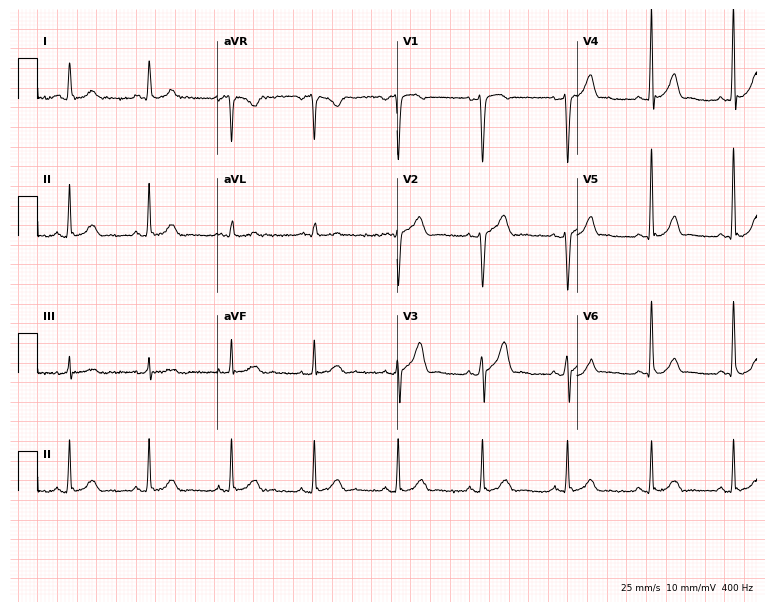
12-lead ECG from a 44-year-old male. No first-degree AV block, right bundle branch block, left bundle branch block, sinus bradycardia, atrial fibrillation or sinus tachycardia recorded for this tracing. Other findings, if any, are not listed.